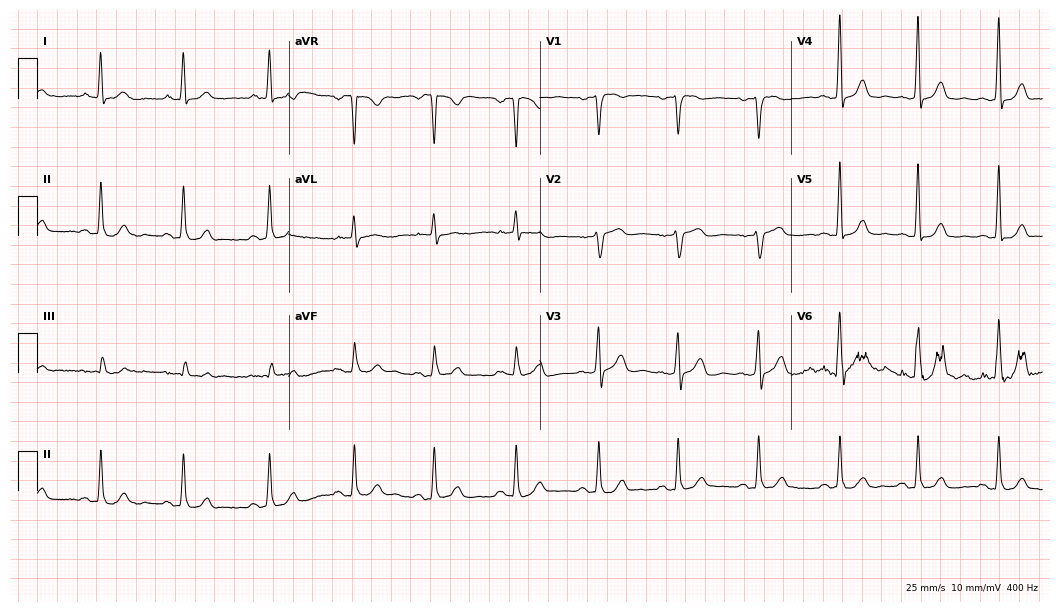
12-lead ECG (10.2-second recording at 400 Hz) from a 49-year-old woman. Screened for six findings — first-degree AV block, right bundle branch block, left bundle branch block, sinus bradycardia, atrial fibrillation, sinus tachycardia — none is recorded.